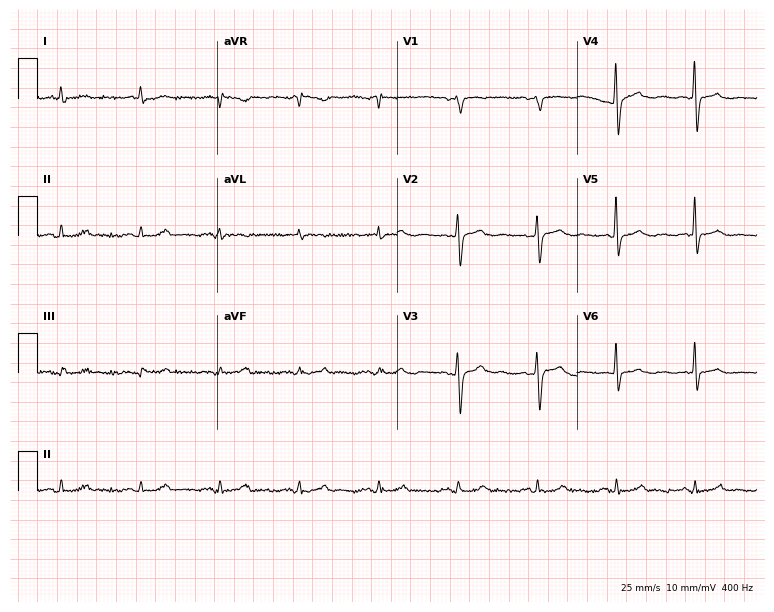
12-lead ECG from an 81-year-old man (7.3-second recording at 400 Hz). Recorded interpretation: within normal limits.